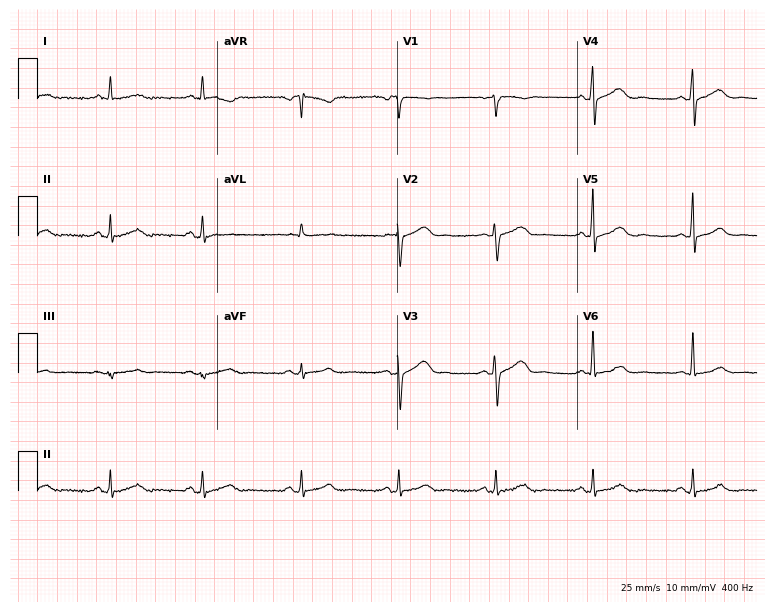
ECG — a 53-year-old female. Labelled as a normal ECG.